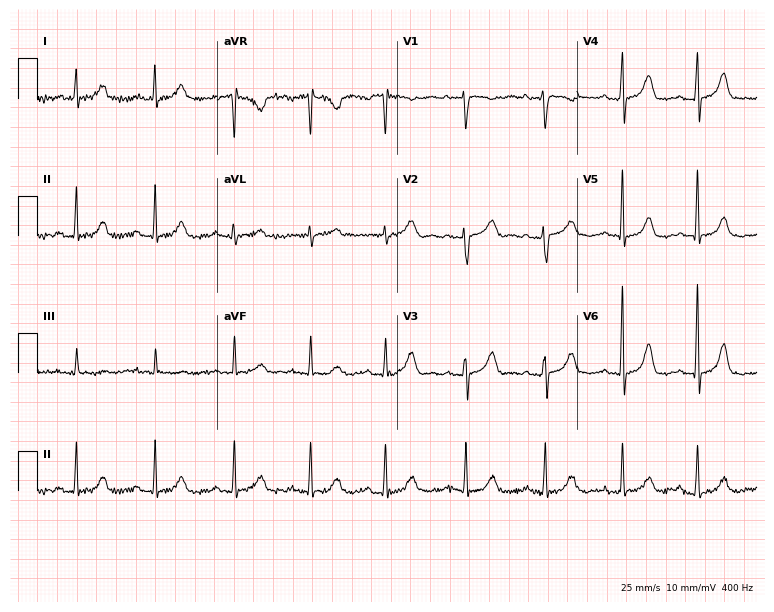
Electrocardiogram, a 70-year-old female patient. Of the six screened findings (first-degree AV block, right bundle branch block, left bundle branch block, sinus bradycardia, atrial fibrillation, sinus tachycardia), none is recorded.